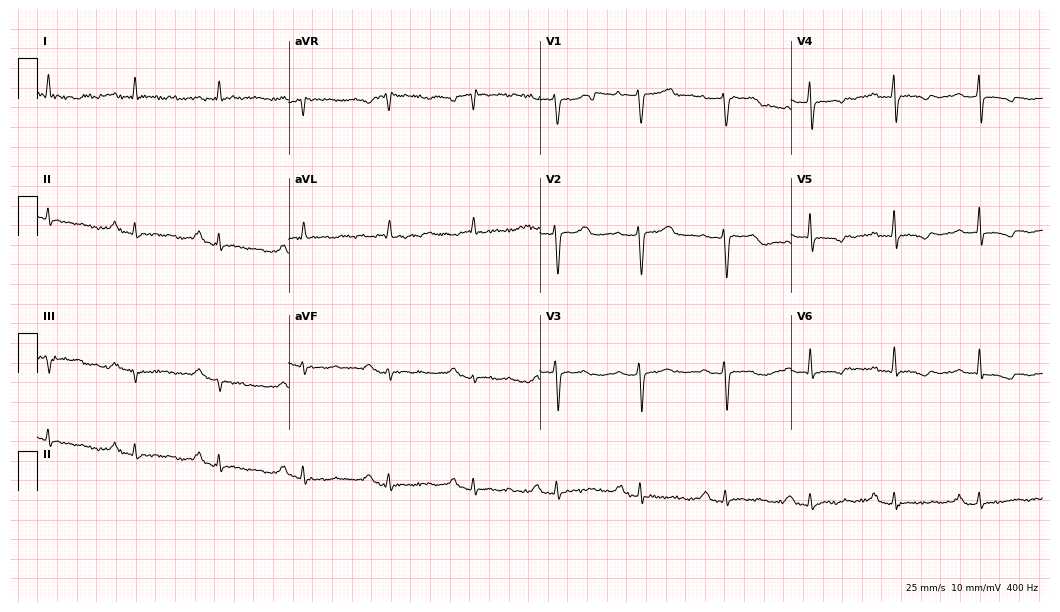
Resting 12-lead electrocardiogram (10.2-second recording at 400 Hz). Patient: a female, 68 years old. None of these six findings is recorded: first-degree AV block, right bundle branch block, left bundle branch block, sinus bradycardia, atrial fibrillation, sinus tachycardia. Only these six findings were labelled.